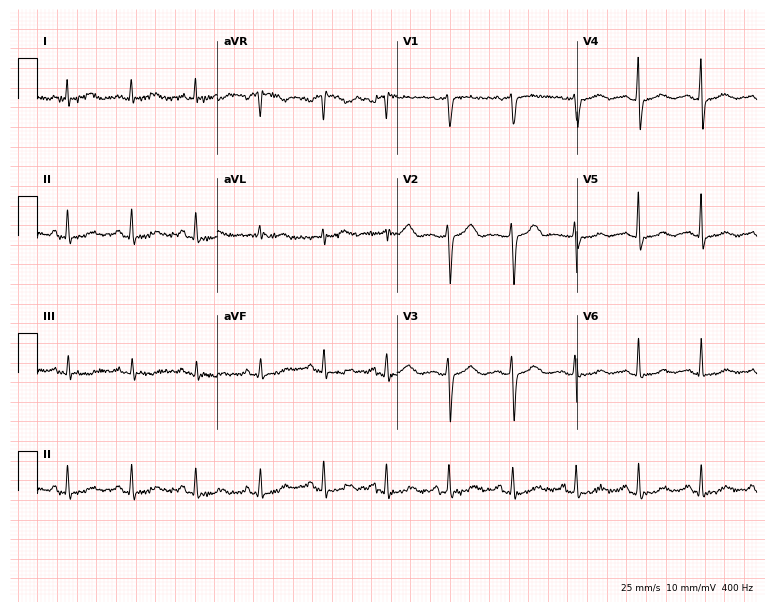
ECG (7.3-second recording at 400 Hz) — a female patient, 47 years old. Labelled as a normal ECG.